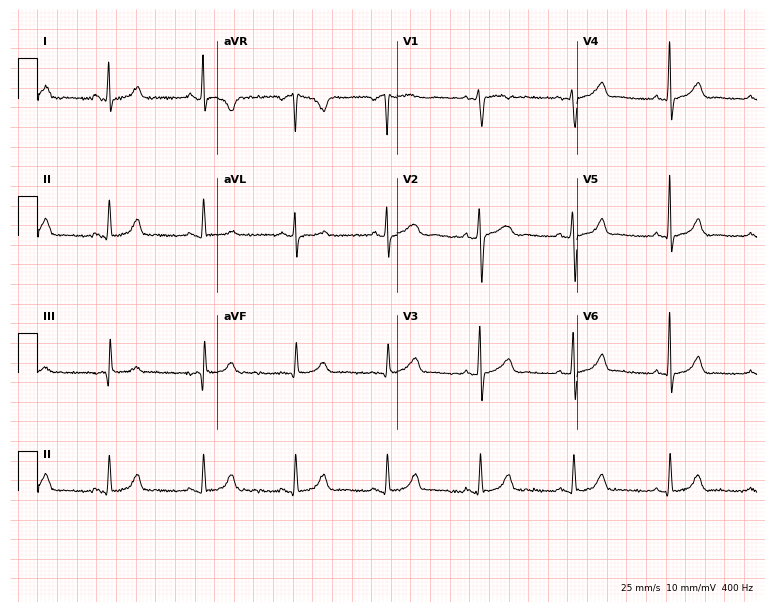
ECG (7.3-second recording at 400 Hz) — a 31-year-old female patient. Labelled as a normal ECG.